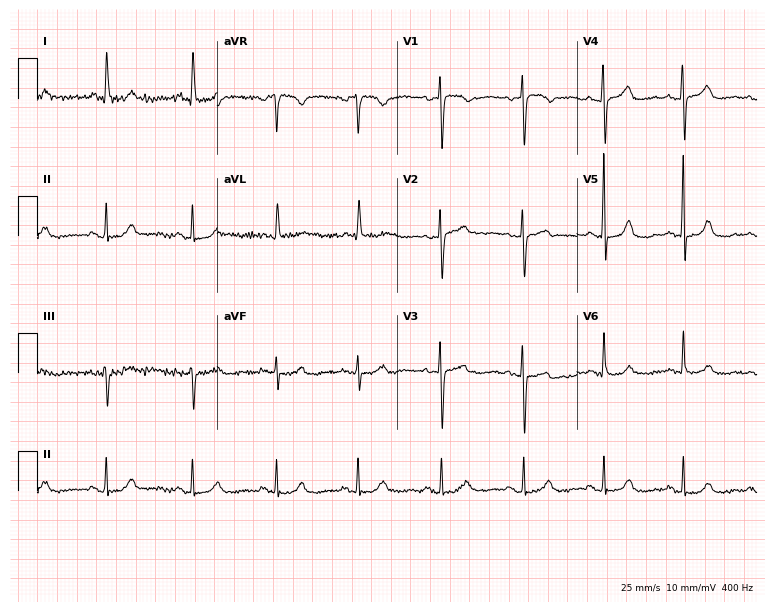
Standard 12-lead ECG recorded from a woman, 71 years old (7.3-second recording at 400 Hz). Read as a normal ECG.